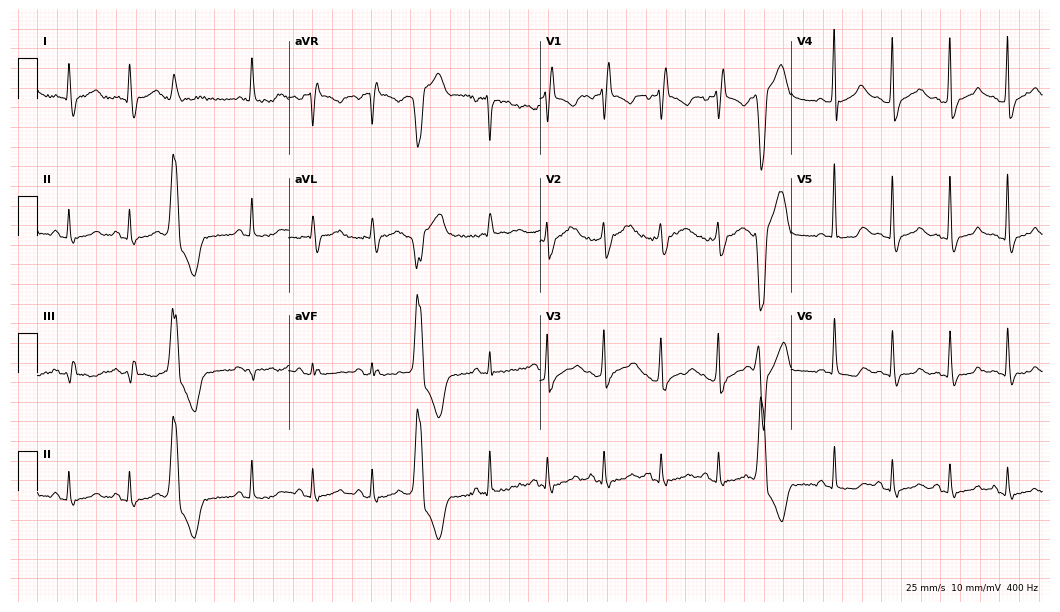
Resting 12-lead electrocardiogram (10.2-second recording at 400 Hz). Patient: a man, 72 years old. Read as a normal ECG.